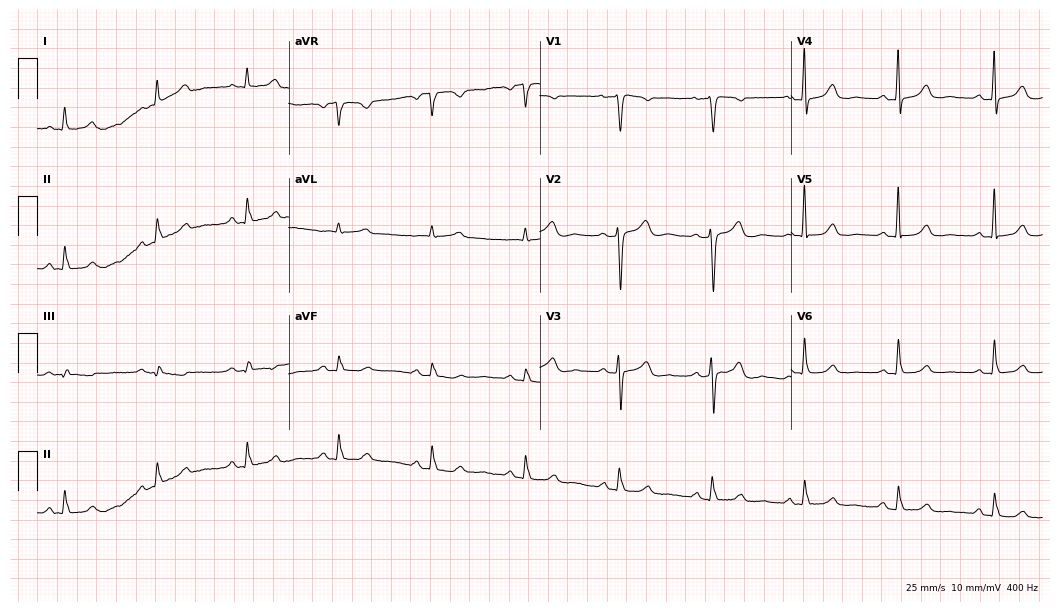
12-lead ECG from a woman, 67 years old (10.2-second recording at 400 Hz). Recorded interpretation: within normal limits.